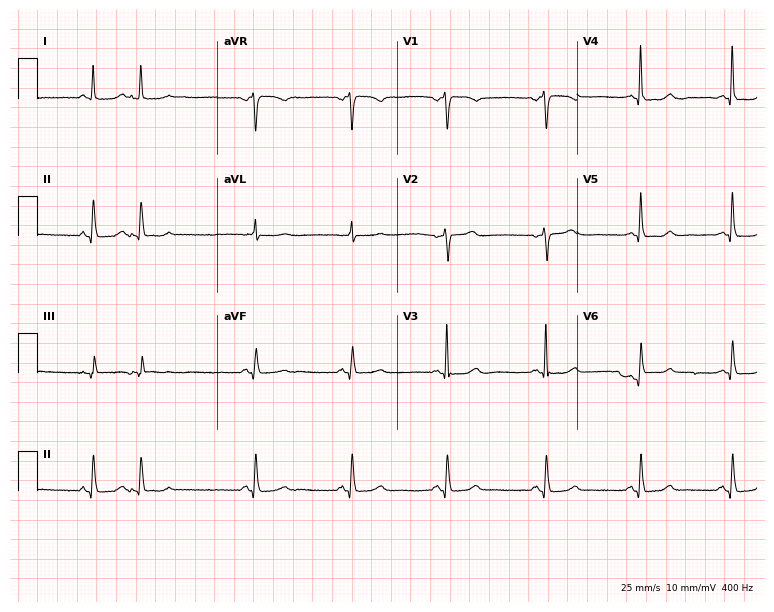
Resting 12-lead electrocardiogram. Patient: a 73-year-old female. None of these six findings is recorded: first-degree AV block, right bundle branch block (RBBB), left bundle branch block (LBBB), sinus bradycardia, atrial fibrillation (AF), sinus tachycardia.